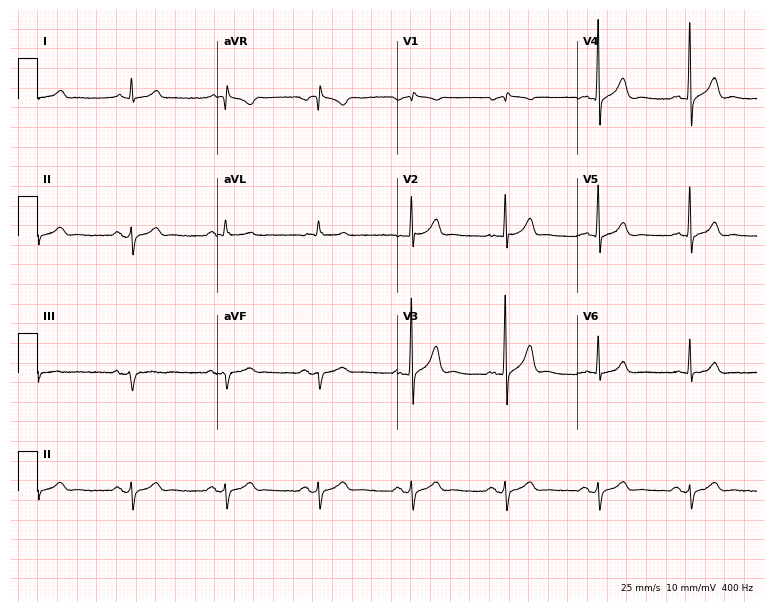
12-lead ECG from a male, 59 years old. No first-degree AV block, right bundle branch block (RBBB), left bundle branch block (LBBB), sinus bradycardia, atrial fibrillation (AF) or sinus tachycardia recorded for this tracing.